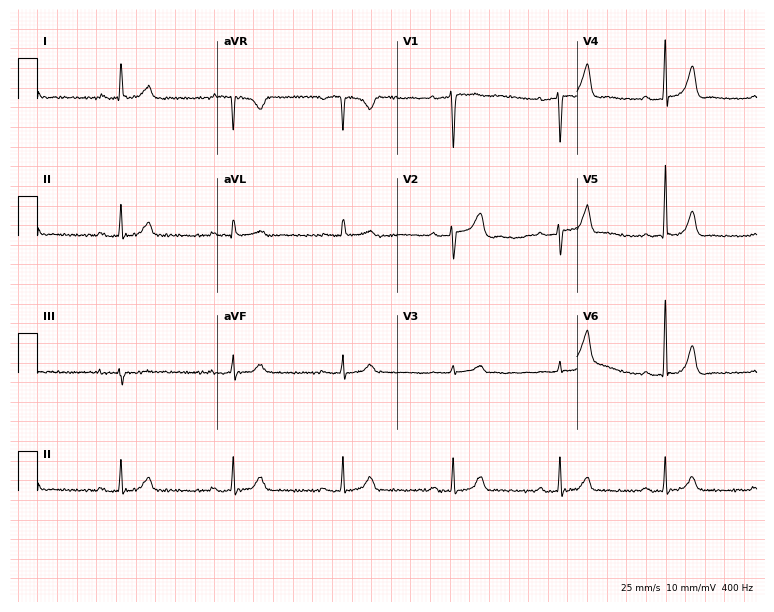
Electrocardiogram, a 61-year-old male patient. Overall reading on record: normal ECG.